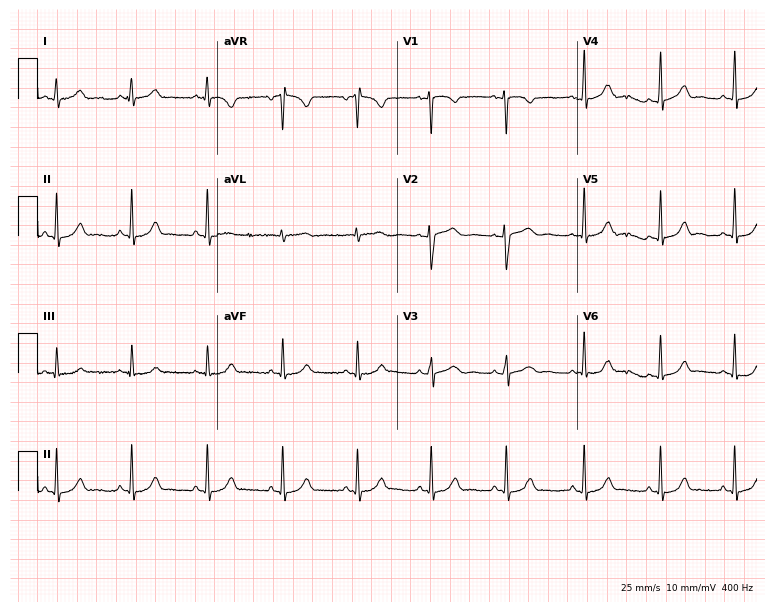
ECG — a female, 24 years old. Labelled as a normal ECG.